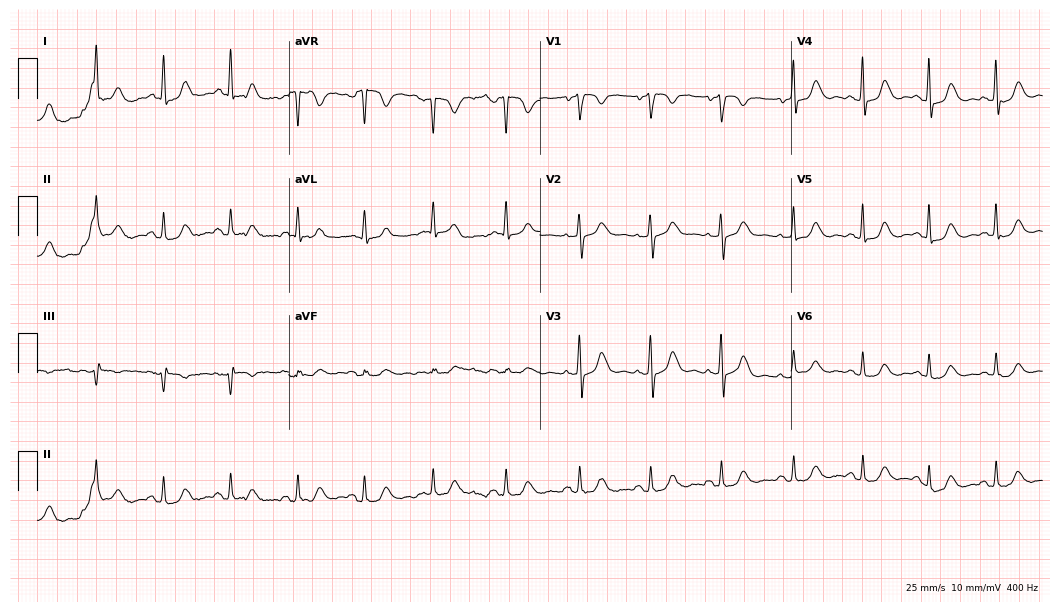
ECG (10.2-second recording at 400 Hz) — a 65-year-old woman. Labelled as a normal ECG.